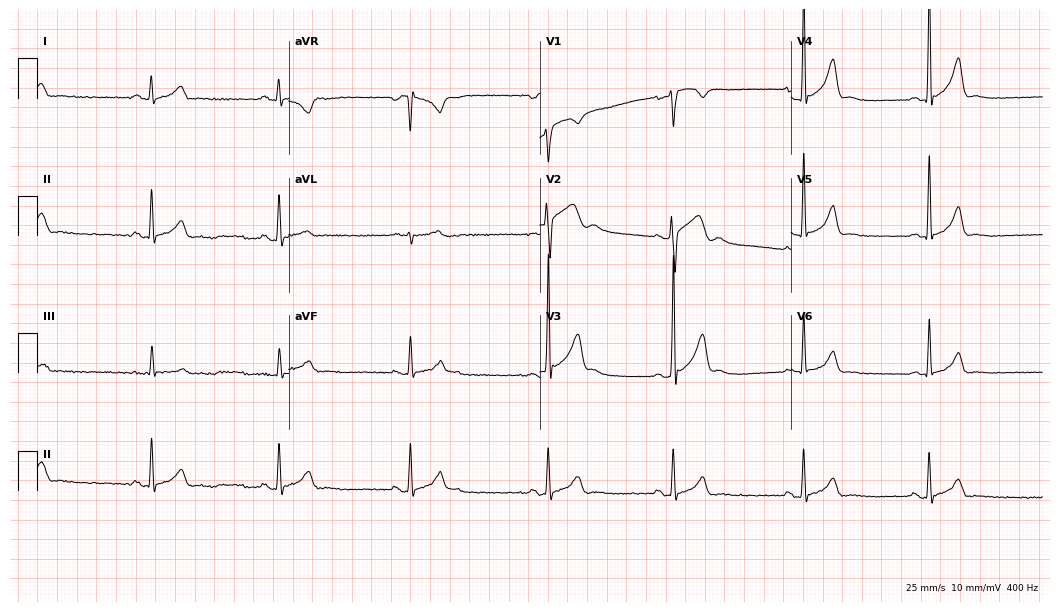
Standard 12-lead ECG recorded from a 29-year-old man. The tracing shows sinus bradycardia (a sinus rate of 50 beats per minute or less).